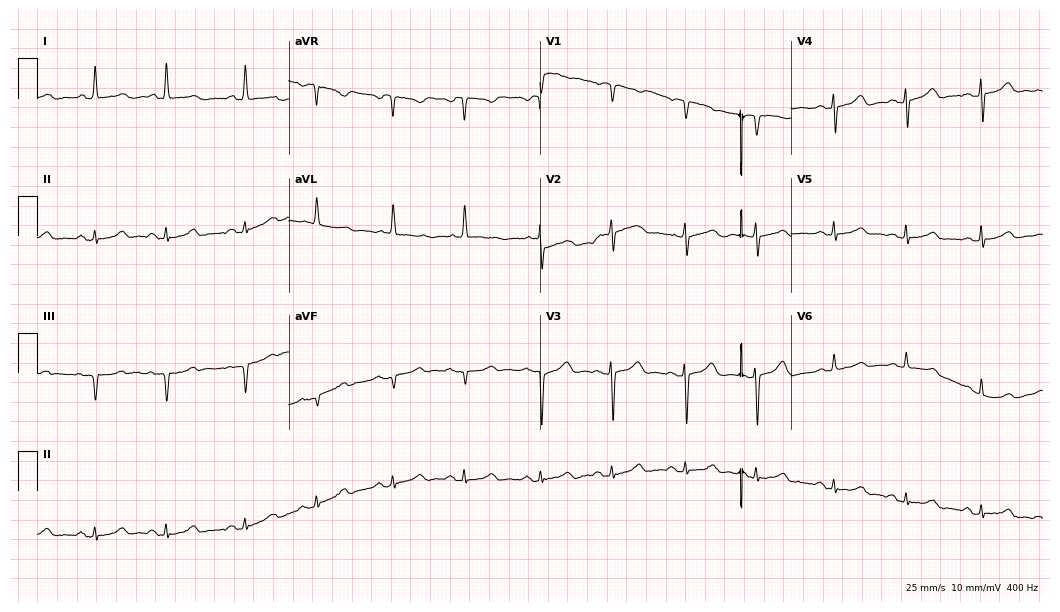
12-lead ECG (10.2-second recording at 400 Hz) from an 83-year-old female patient. Screened for six findings — first-degree AV block, right bundle branch block, left bundle branch block, sinus bradycardia, atrial fibrillation, sinus tachycardia — none is recorded. Other findings, if any, are not listed.